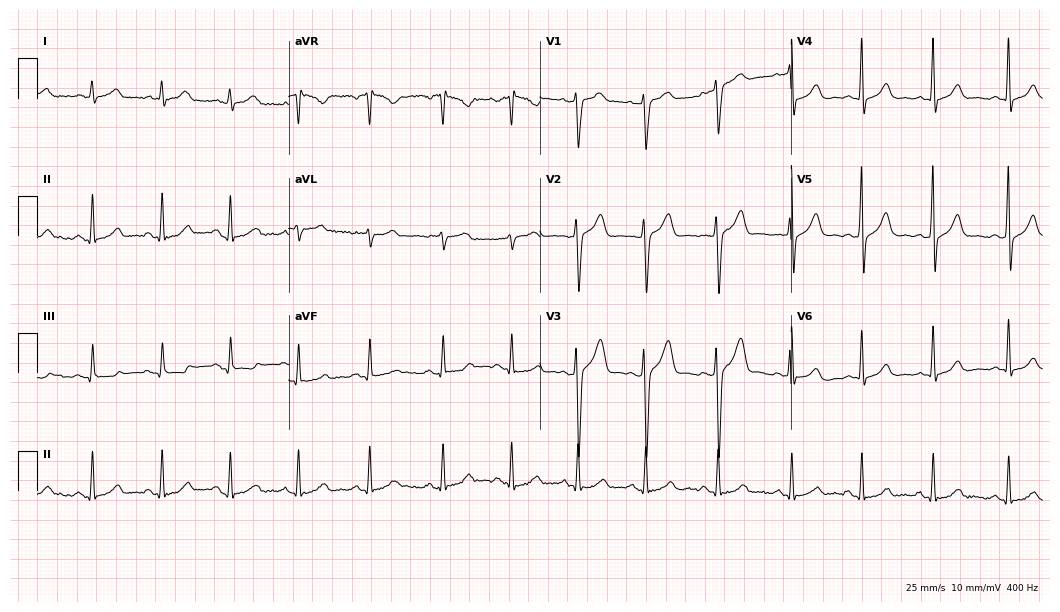
Standard 12-lead ECG recorded from a male patient, 51 years old (10.2-second recording at 400 Hz). None of these six findings is recorded: first-degree AV block, right bundle branch block (RBBB), left bundle branch block (LBBB), sinus bradycardia, atrial fibrillation (AF), sinus tachycardia. Other findings, if any, are not listed.